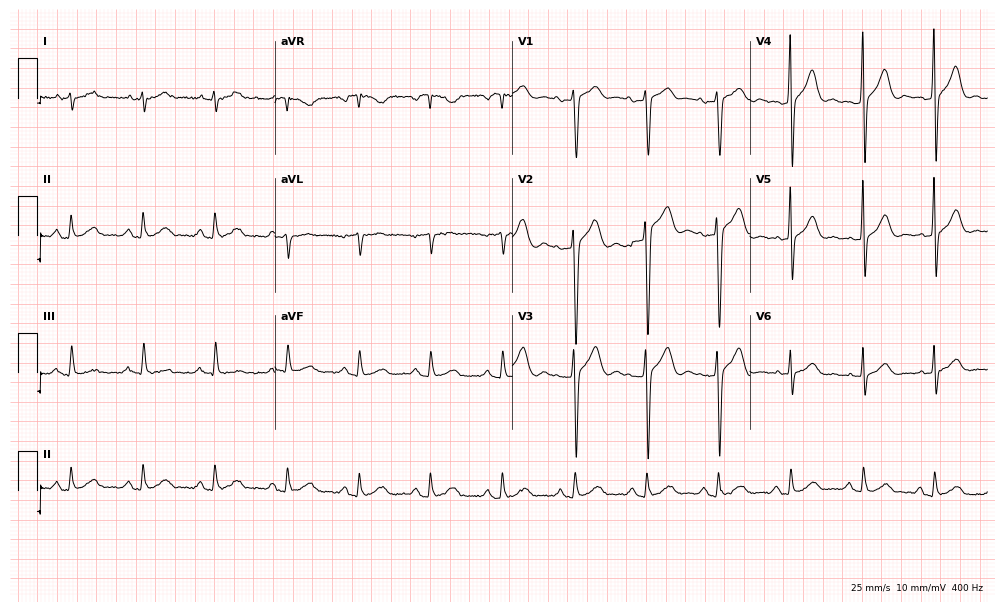
Resting 12-lead electrocardiogram (9.7-second recording at 400 Hz). Patient: a man, 47 years old. Read as a normal ECG.